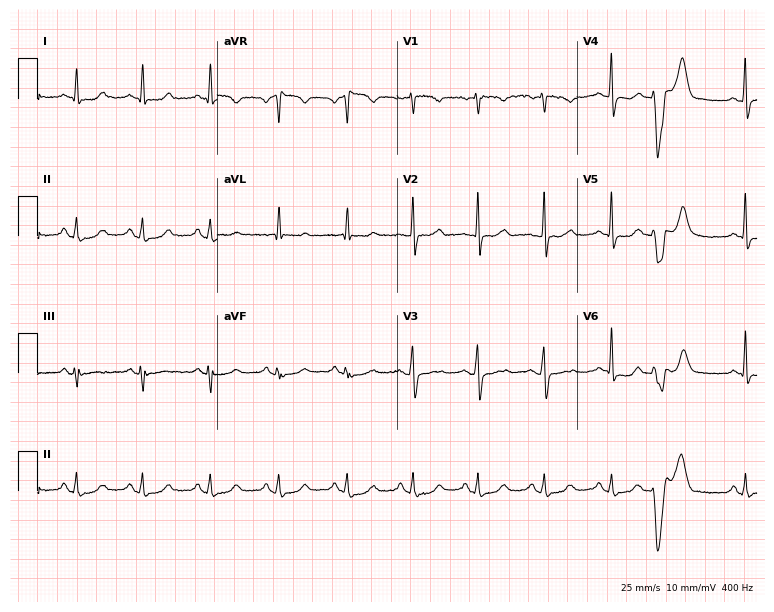
Resting 12-lead electrocardiogram (7.3-second recording at 400 Hz). Patient: a 51-year-old female. Read as a normal ECG.